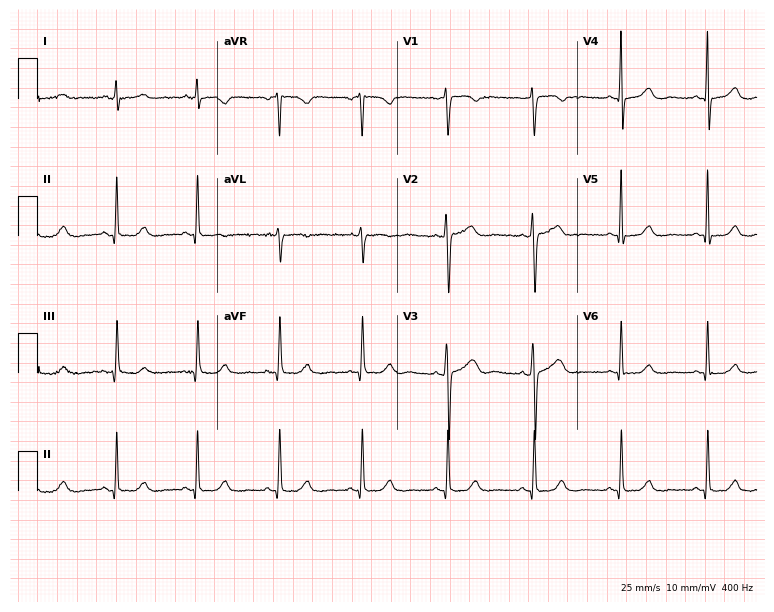
Electrocardiogram (7.3-second recording at 400 Hz), a female, 44 years old. Overall reading on record: normal ECG.